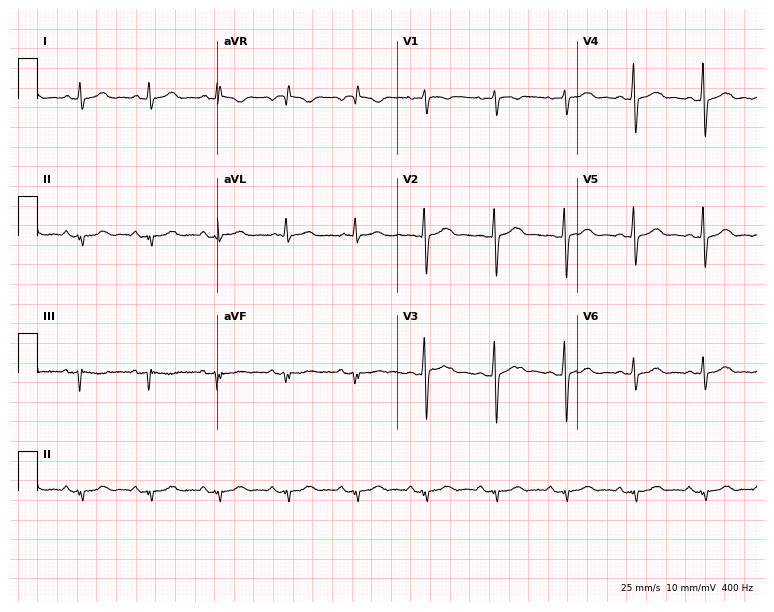
Electrocardiogram (7.3-second recording at 400 Hz), a female patient, 35 years old. Of the six screened findings (first-degree AV block, right bundle branch block, left bundle branch block, sinus bradycardia, atrial fibrillation, sinus tachycardia), none is recorded. Findings outside these six are not listed.